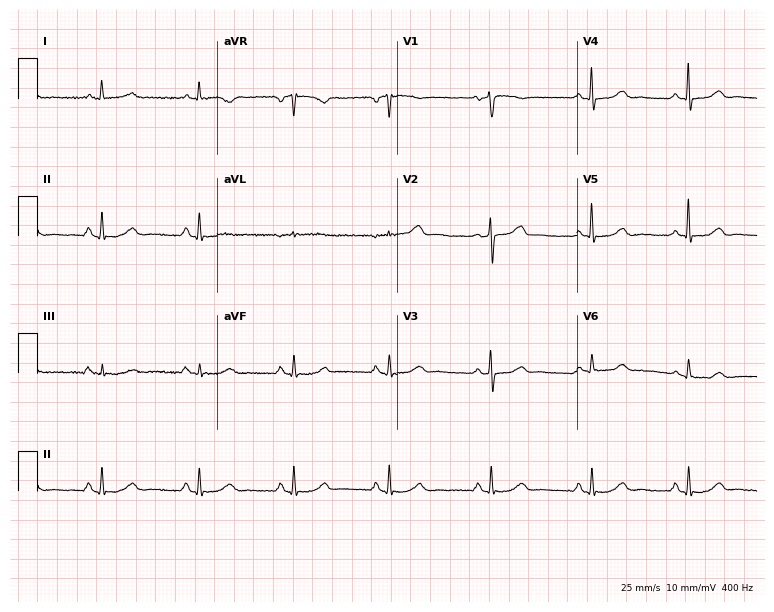
Standard 12-lead ECG recorded from a female, 69 years old (7.3-second recording at 400 Hz). Read as a normal ECG.